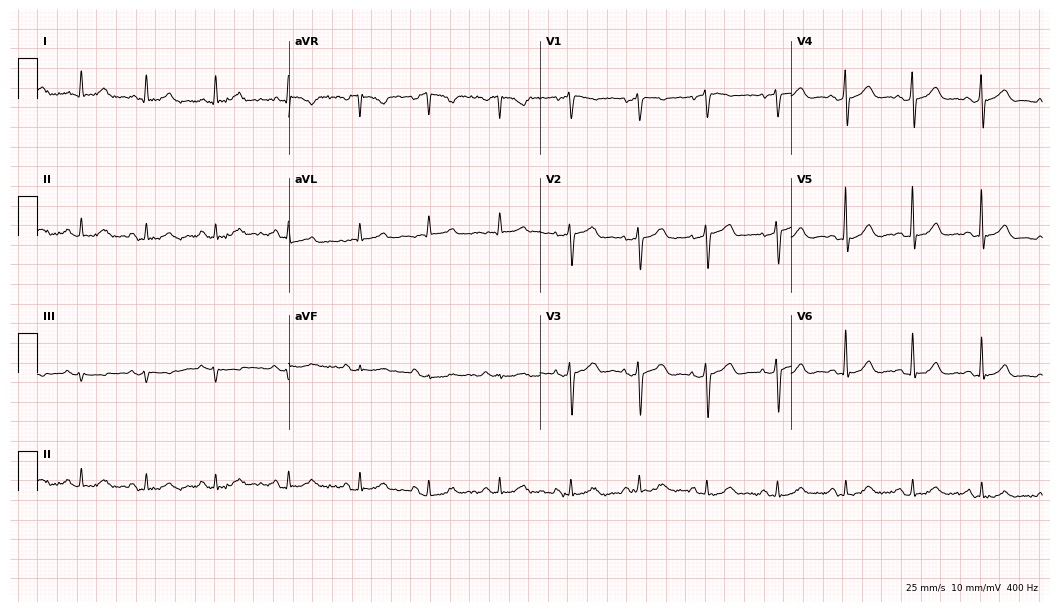
Standard 12-lead ECG recorded from a male, 69 years old (10.2-second recording at 400 Hz). Read as a normal ECG.